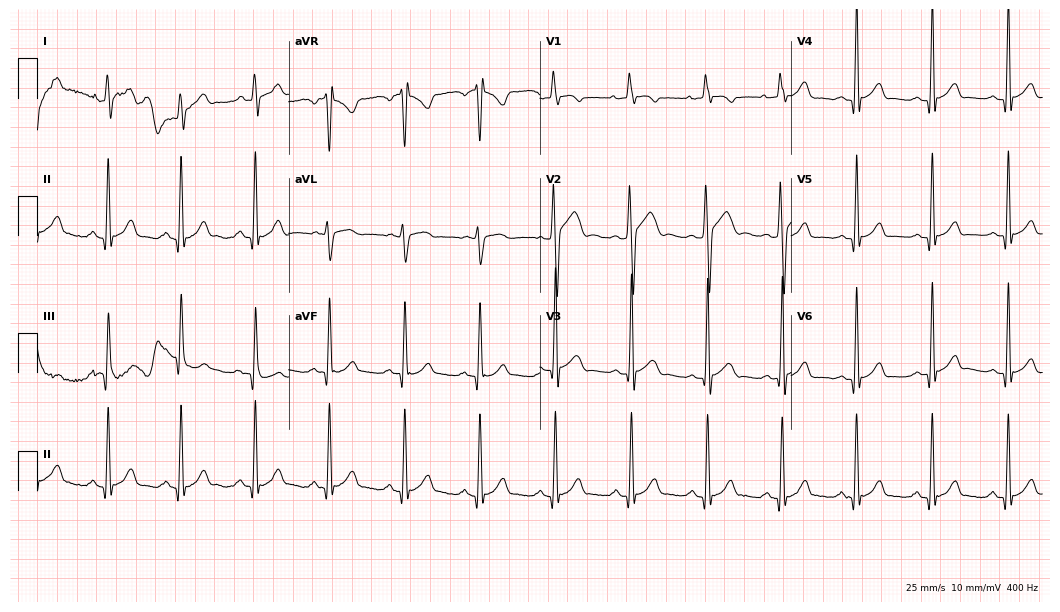
Standard 12-lead ECG recorded from a man, 20 years old (10.2-second recording at 400 Hz). None of these six findings is recorded: first-degree AV block, right bundle branch block, left bundle branch block, sinus bradycardia, atrial fibrillation, sinus tachycardia.